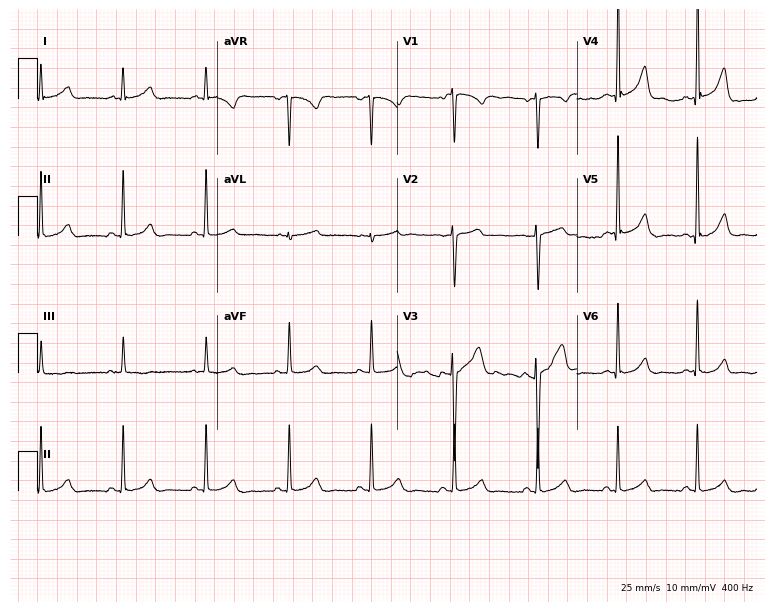
Electrocardiogram, a female patient, 38 years old. Overall reading on record: normal ECG.